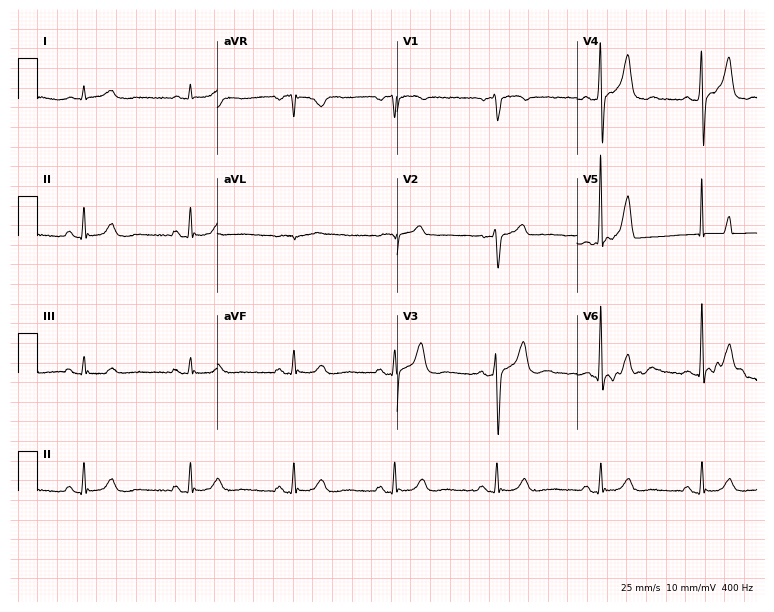
12-lead ECG from a man, 85 years old. Recorded interpretation: within normal limits.